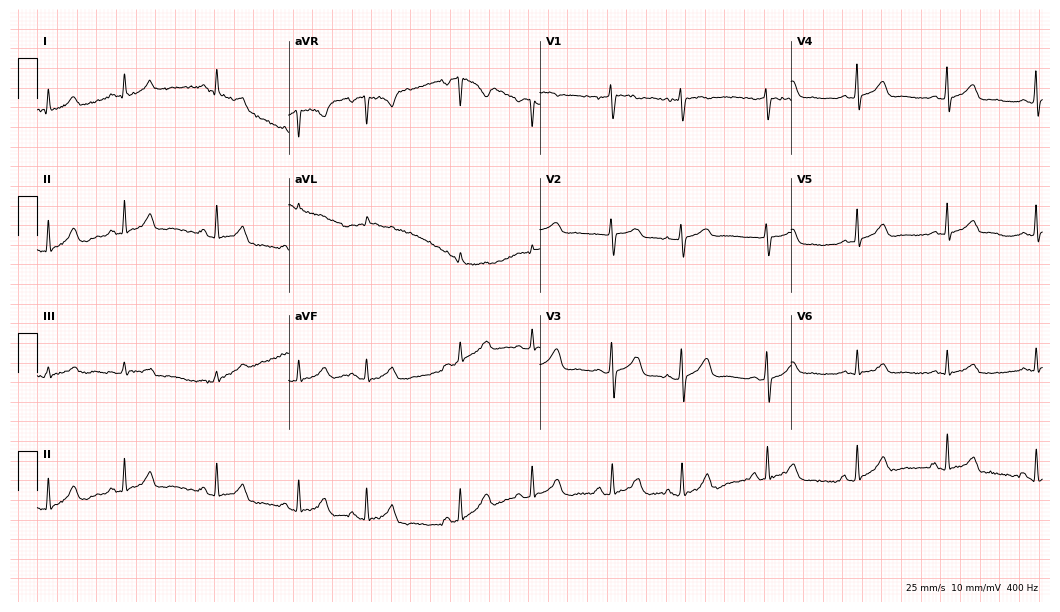
Electrocardiogram, a female patient, 27 years old. Overall reading on record: normal ECG.